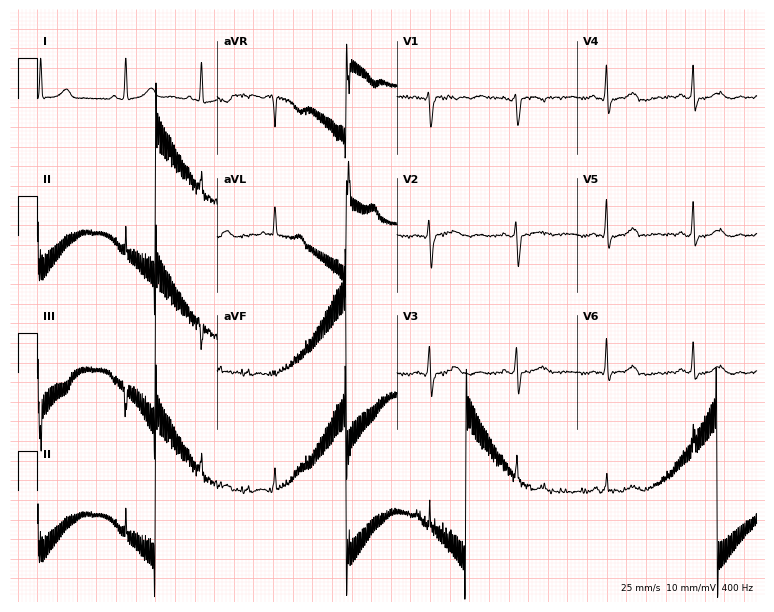
12-lead ECG from a 52-year-old woman (7.3-second recording at 400 Hz). Recorded interpretation: within normal limits.